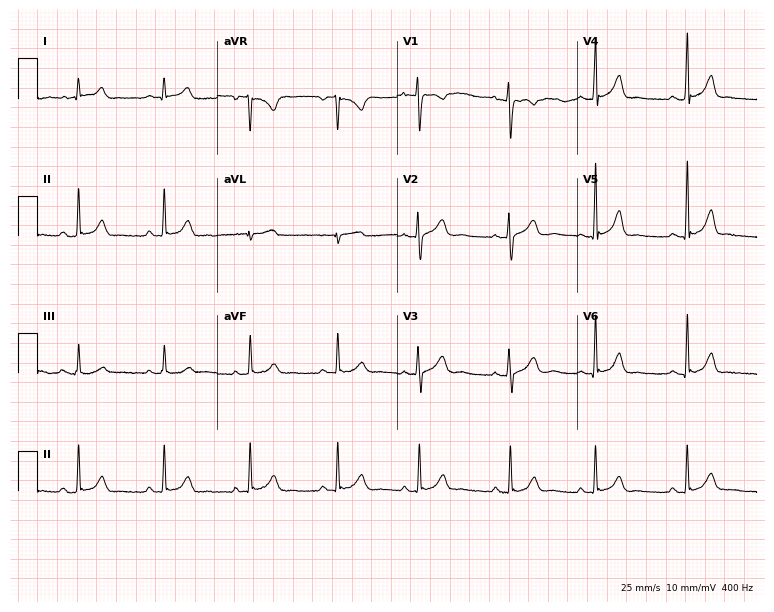
Standard 12-lead ECG recorded from a female, 23 years old (7.3-second recording at 400 Hz). Read as a normal ECG.